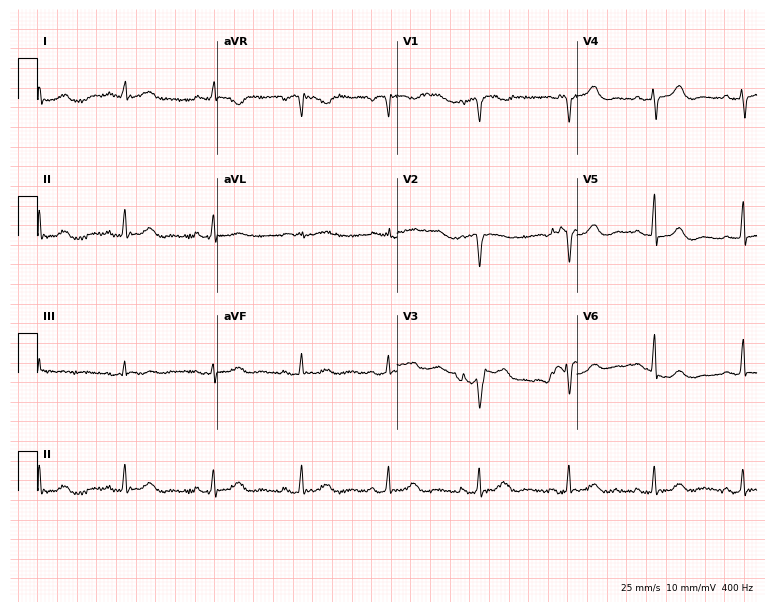
12-lead ECG from a woman, 74 years old. Labelled as a normal ECG.